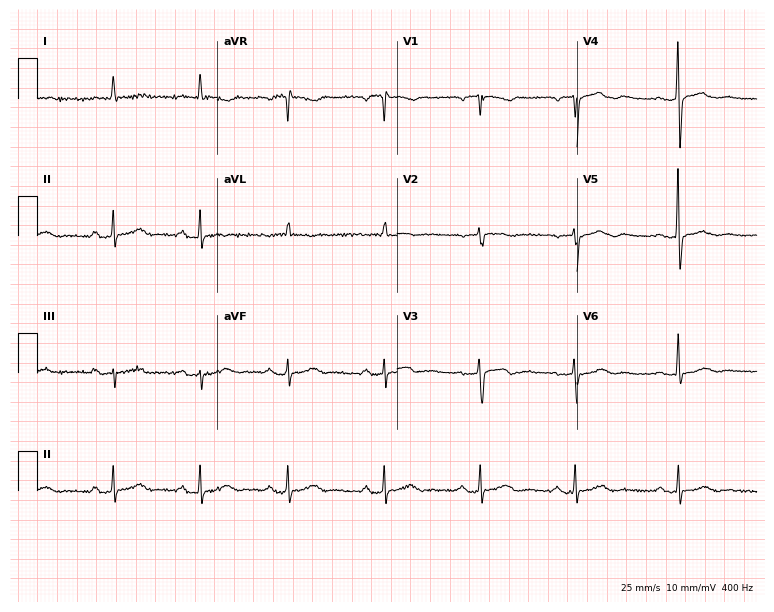
Resting 12-lead electrocardiogram. Patient: a 72-year-old female. The tracing shows first-degree AV block.